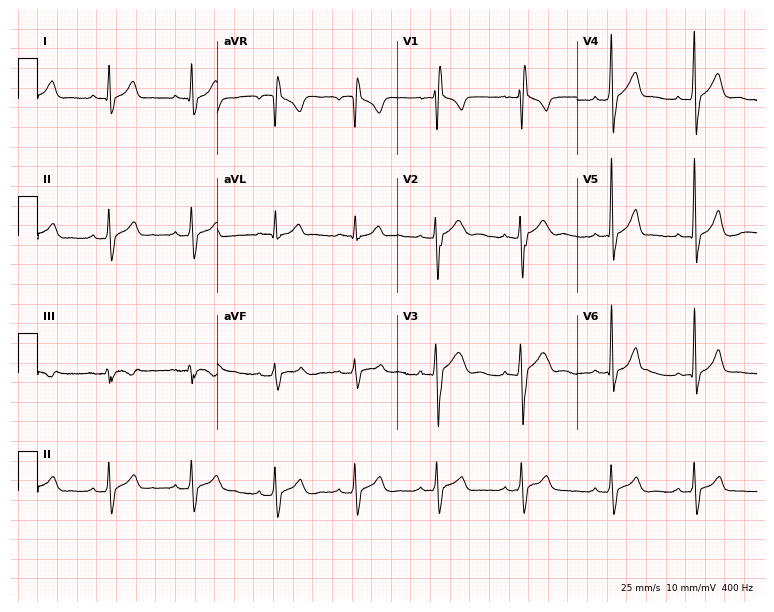
12-lead ECG from an 18-year-old male. Screened for six findings — first-degree AV block, right bundle branch block, left bundle branch block, sinus bradycardia, atrial fibrillation, sinus tachycardia — none is recorded.